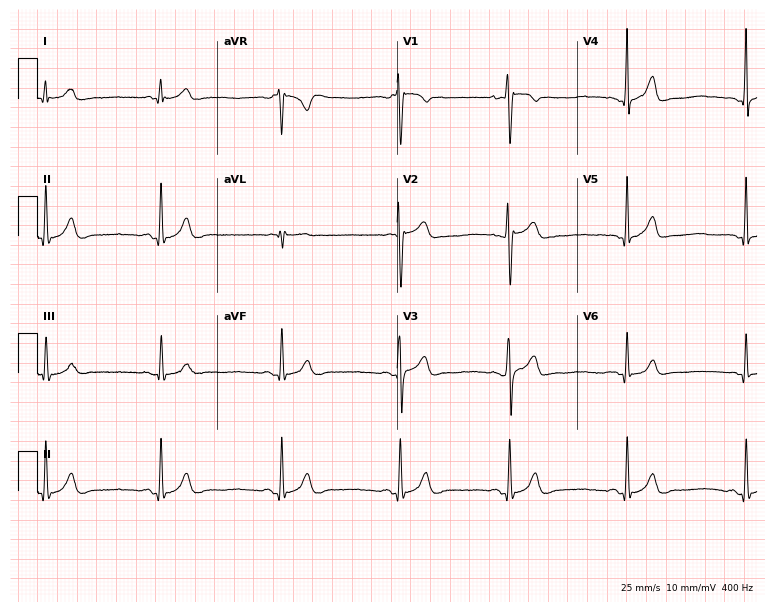
Resting 12-lead electrocardiogram (7.3-second recording at 400 Hz). Patient: a male, 19 years old. The tracing shows sinus bradycardia (a sinus rate of 50 beats per minute or less).